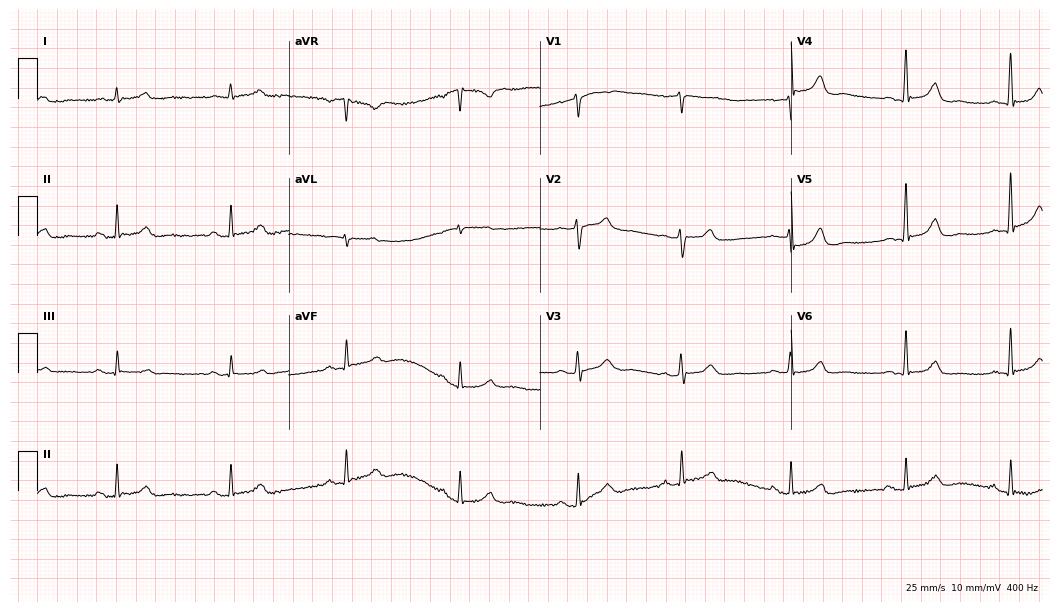
Standard 12-lead ECG recorded from a 40-year-old woman. None of these six findings is recorded: first-degree AV block, right bundle branch block (RBBB), left bundle branch block (LBBB), sinus bradycardia, atrial fibrillation (AF), sinus tachycardia.